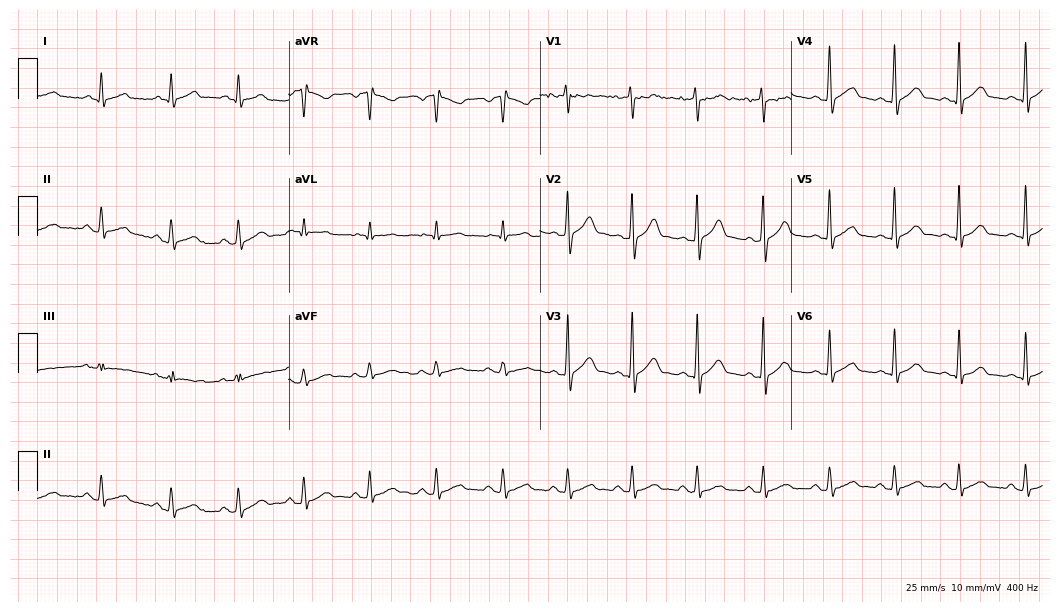
Electrocardiogram, a 41-year-old man. Overall reading on record: normal ECG.